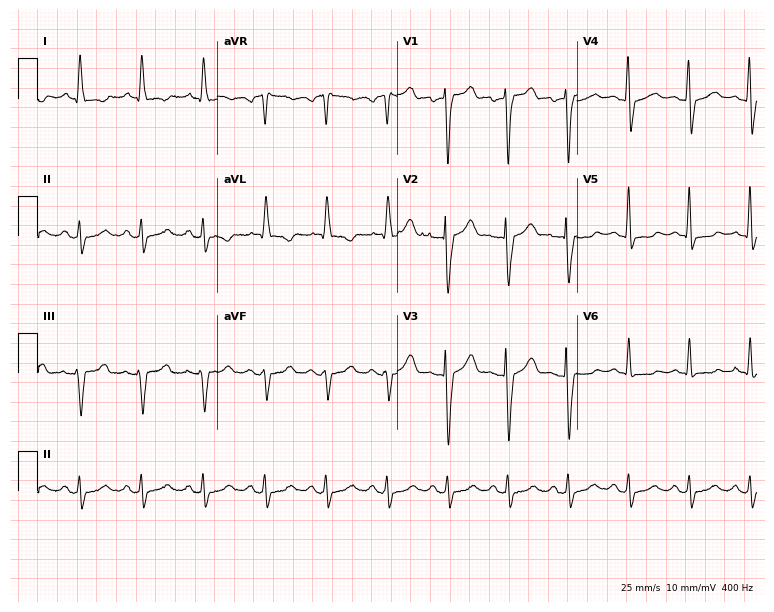
Electrocardiogram (7.3-second recording at 400 Hz), an 82-year-old male. Of the six screened findings (first-degree AV block, right bundle branch block, left bundle branch block, sinus bradycardia, atrial fibrillation, sinus tachycardia), none is recorded. Other findings, if any, are not listed.